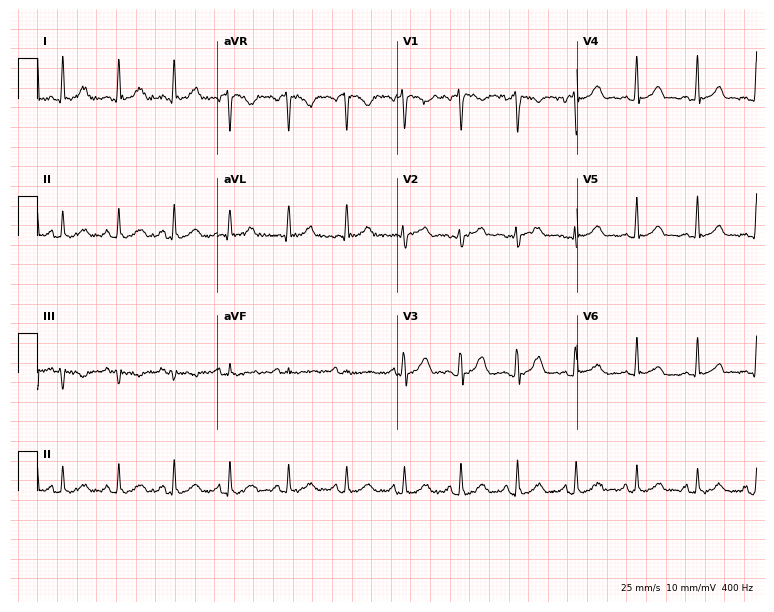
12-lead ECG from a 38-year-old woman. Labelled as a normal ECG.